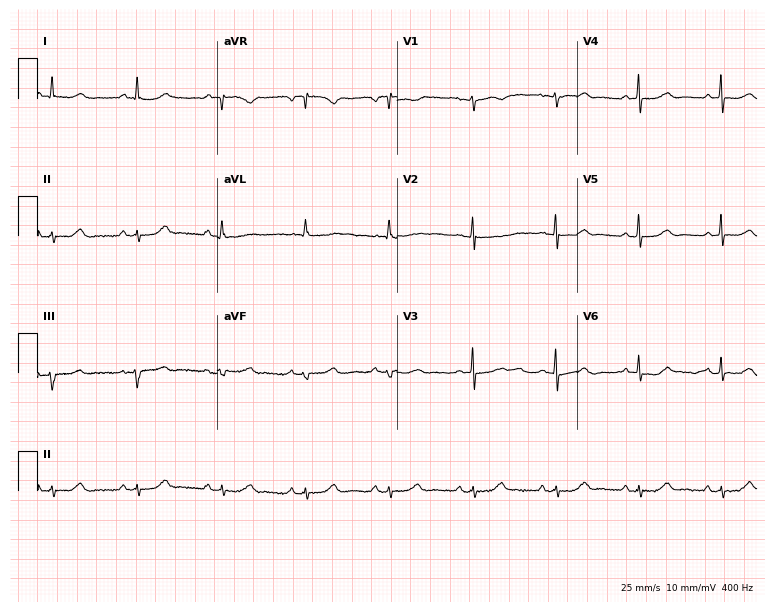
12-lead ECG from a female patient, 73 years old. No first-degree AV block, right bundle branch block (RBBB), left bundle branch block (LBBB), sinus bradycardia, atrial fibrillation (AF) or sinus tachycardia recorded for this tracing.